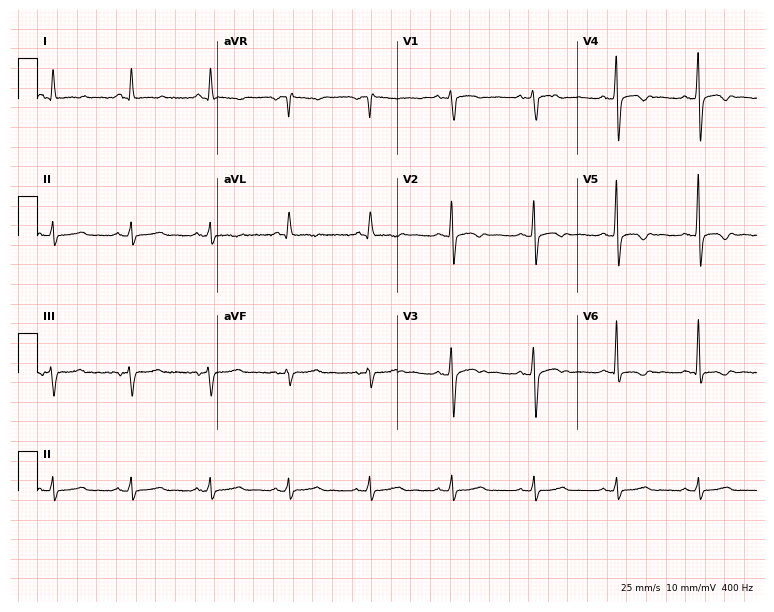
Standard 12-lead ECG recorded from a 44-year-old male patient (7.3-second recording at 400 Hz). None of these six findings is recorded: first-degree AV block, right bundle branch block, left bundle branch block, sinus bradycardia, atrial fibrillation, sinus tachycardia.